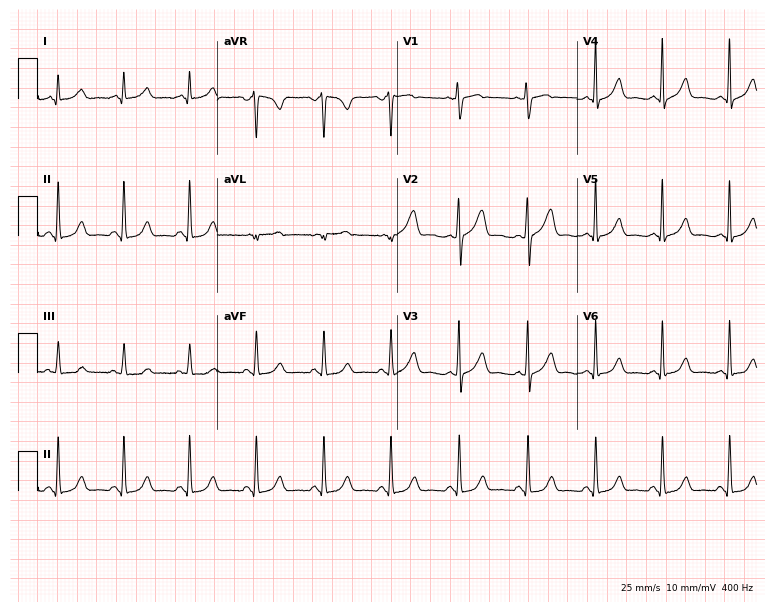
Electrocardiogram (7.3-second recording at 400 Hz), a female, 44 years old. Overall reading on record: normal ECG.